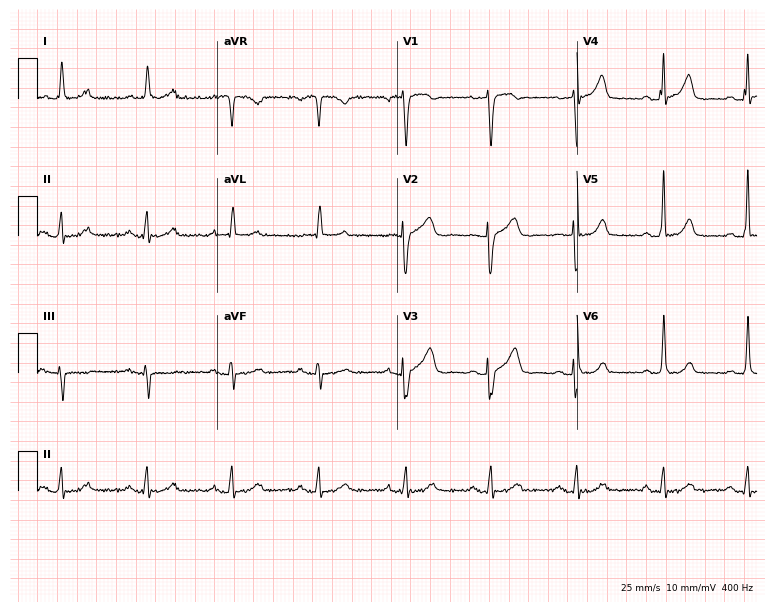
Electrocardiogram, a 56-year-old female patient. Overall reading on record: normal ECG.